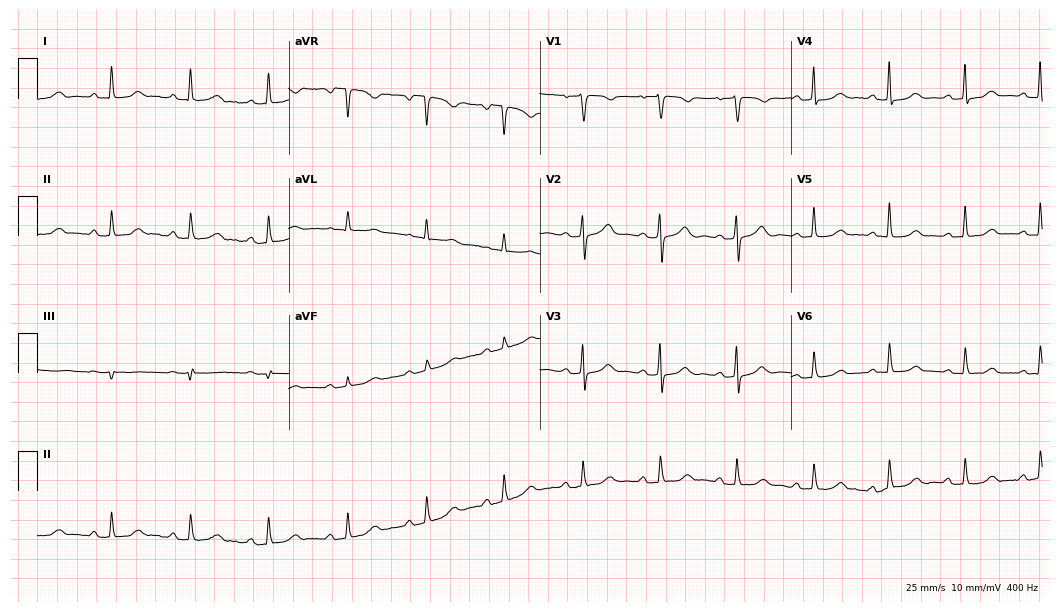
12-lead ECG from a female, 68 years old. No first-degree AV block, right bundle branch block, left bundle branch block, sinus bradycardia, atrial fibrillation or sinus tachycardia recorded for this tracing. Other findings, if any, are not listed.